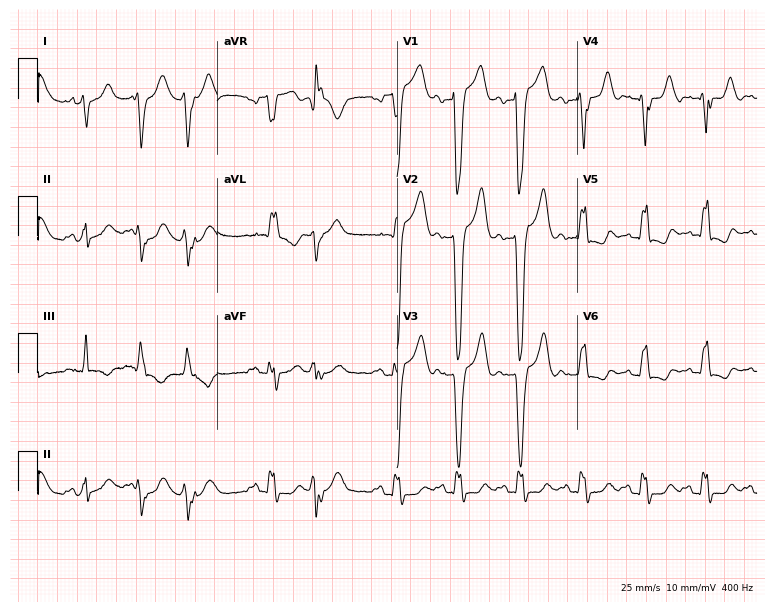
Standard 12-lead ECG recorded from a female, 84 years old. The tracing shows left bundle branch block.